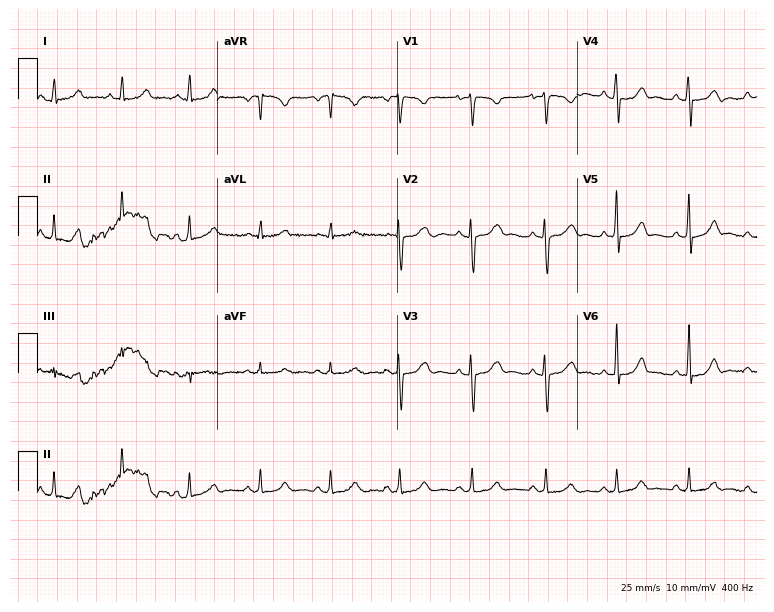
Standard 12-lead ECG recorded from a 43-year-old female (7.3-second recording at 400 Hz). None of these six findings is recorded: first-degree AV block, right bundle branch block, left bundle branch block, sinus bradycardia, atrial fibrillation, sinus tachycardia. Only these six findings were labelled.